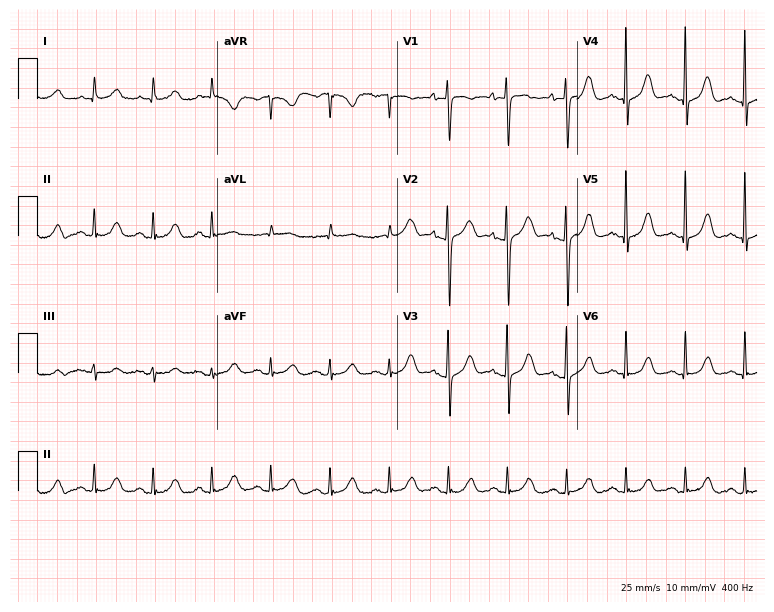
Electrocardiogram (7.3-second recording at 400 Hz), a 77-year-old female patient. Of the six screened findings (first-degree AV block, right bundle branch block, left bundle branch block, sinus bradycardia, atrial fibrillation, sinus tachycardia), none is recorded.